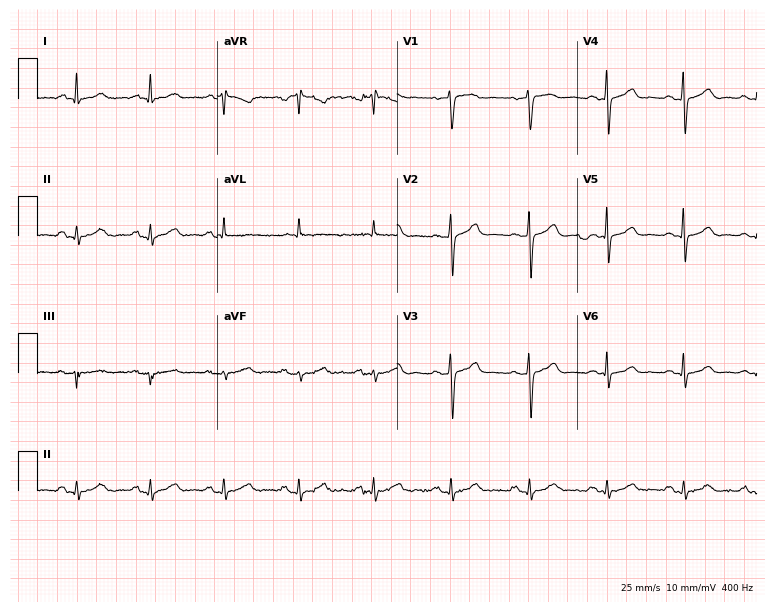
Electrocardiogram (7.3-second recording at 400 Hz), a 58-year-old female patient. Of the six screened findings (first-degree AV block, right bundle branch block, left bundle branch block, sinus bradycardia, atrial fibrillation, sinus tachycardia), none is recorded.